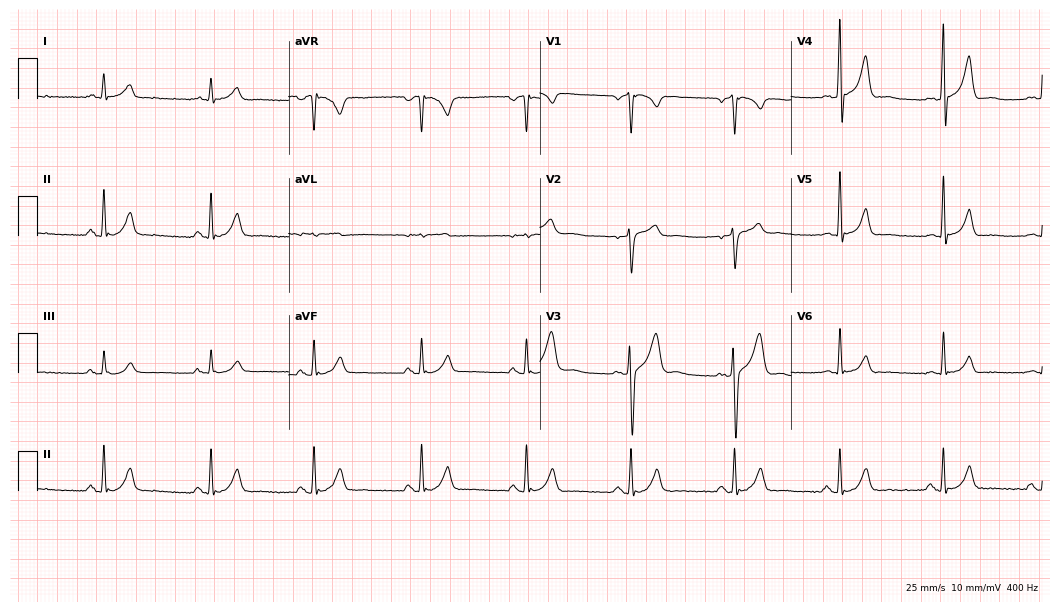
12-lead ECG from a man, 44 years old. Screened for six findings — first-degree AV block, right bundle branch block, left bundle branch block, sinus bradycardia, atrial fibrillation, sinus tachycardia — none is recorded. Findings outside these six are not listed.